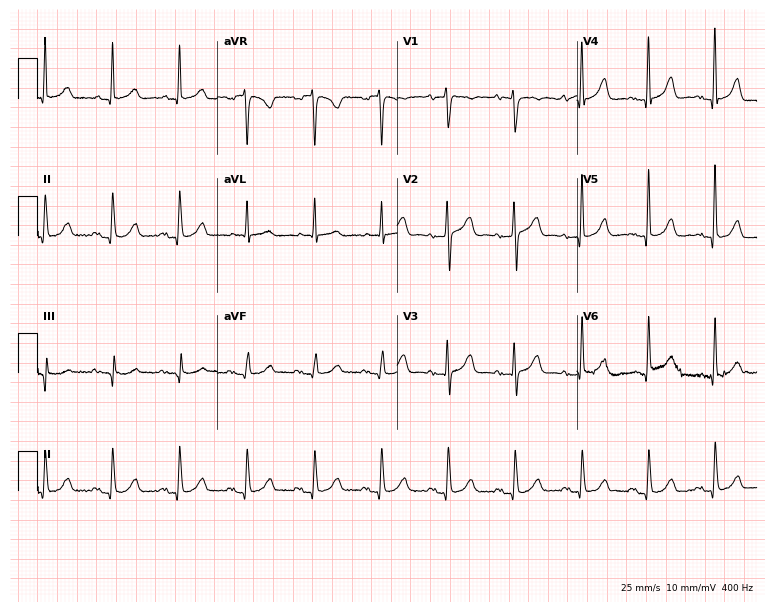
12-lead ECG (7.3-second recording at 400 Hz) from a woman, 78 years old. Labelled as a normal ECG.